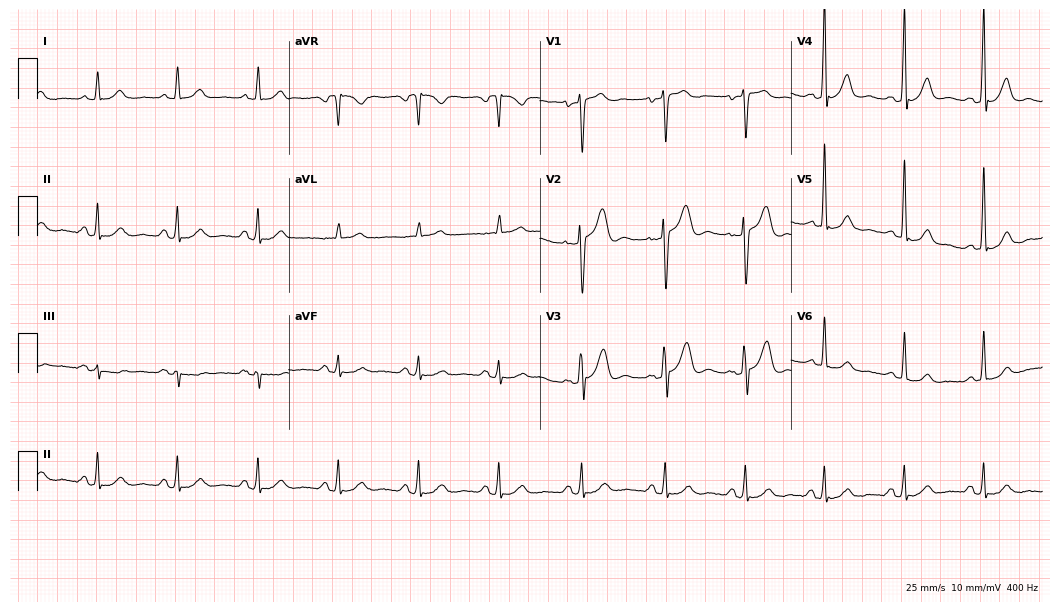
ECG — a male patient, 56 years old. Screened for six findings — first-degree AV block, right bundle branch block, left bundle branch block, sinus bradycardia, atrial fibrillation, sinus tachycardia — none is recorded.